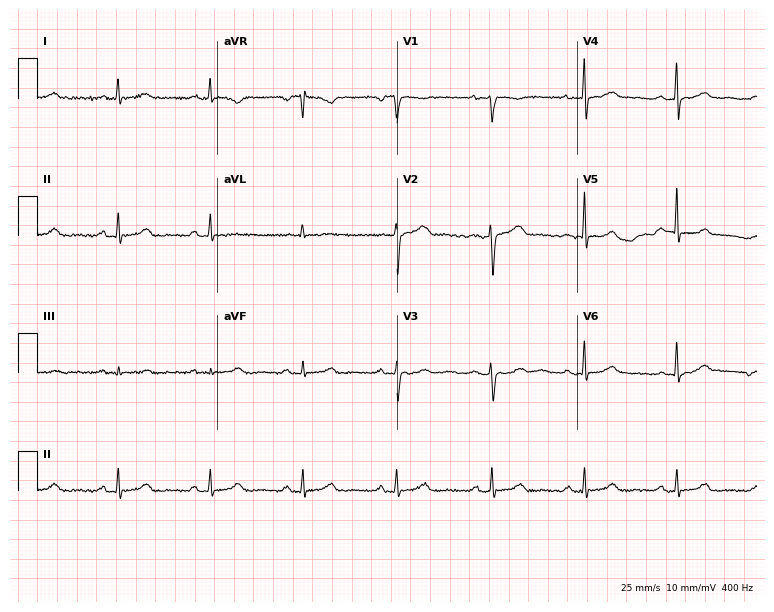
12-lead ECG from a woman, 40 years old (7.3-second recording at 400 Hz). No first-degree AV block, right bundle branch block, left bundle branch block, sinus bradycardia, atrial fibrillation or sinus tachycardia recorded for this tracing.